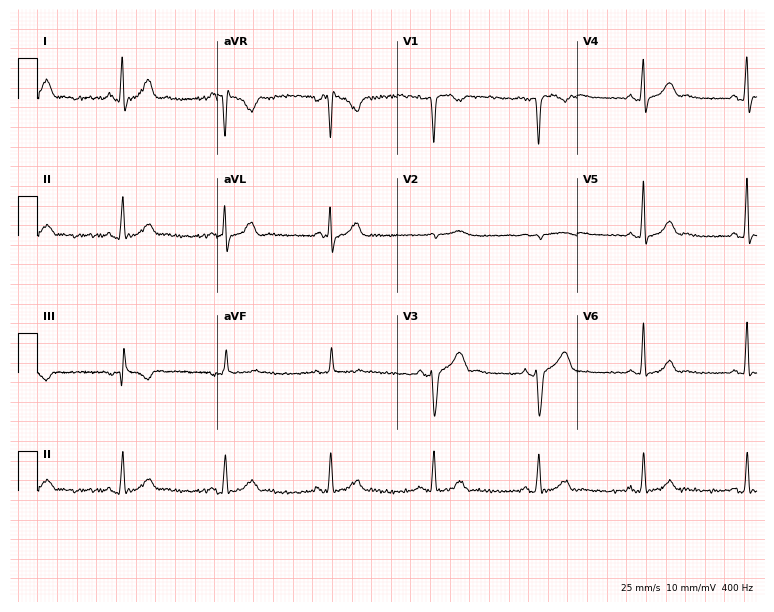
ECG (7.3-second recording at 400 Hz) — a 42-year-old male patient. Labelled as a normal ECG.